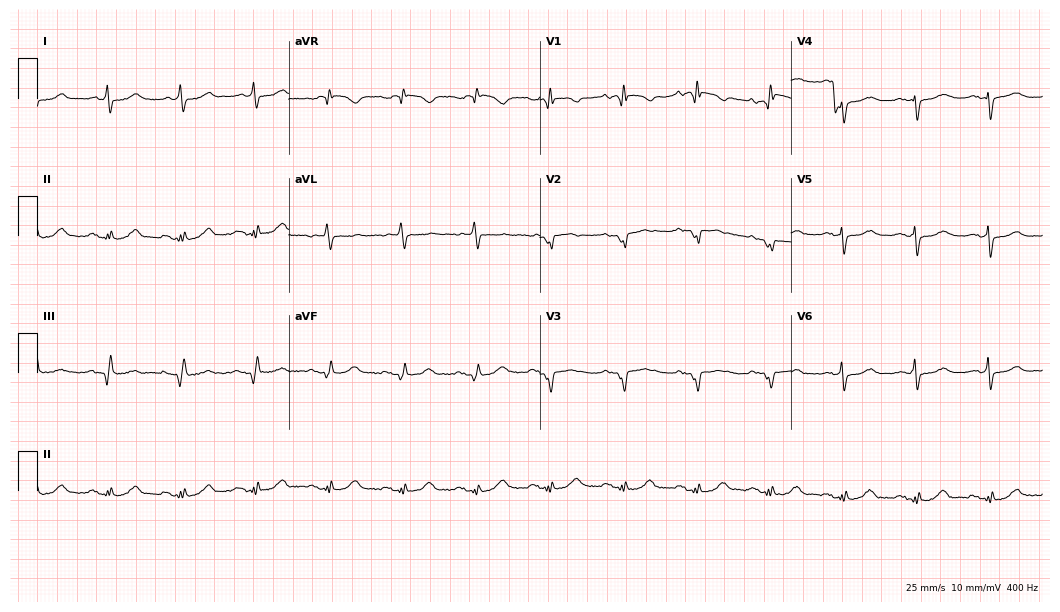
ECG — an 81-year-old man. Screened for six findings — first-degree AV block, right bundle branch block, left bundle branch block, sinus bradycardia, atrial fibrillation, sinus tachycardia — none is recorded.